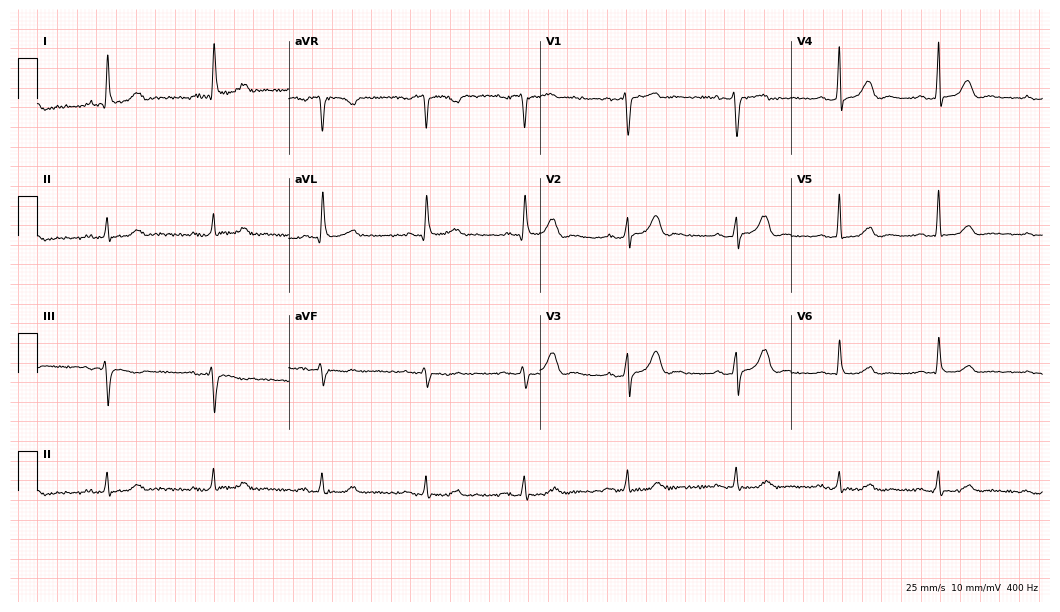
Standard 12-lead ECG recorded from a female, 48 years old. None of these six findings is recorded: first-degree AV block, right bundle branch block, left bundle branch block, sinus bradycardia, atrial fibrillation, sinus tachycardia.